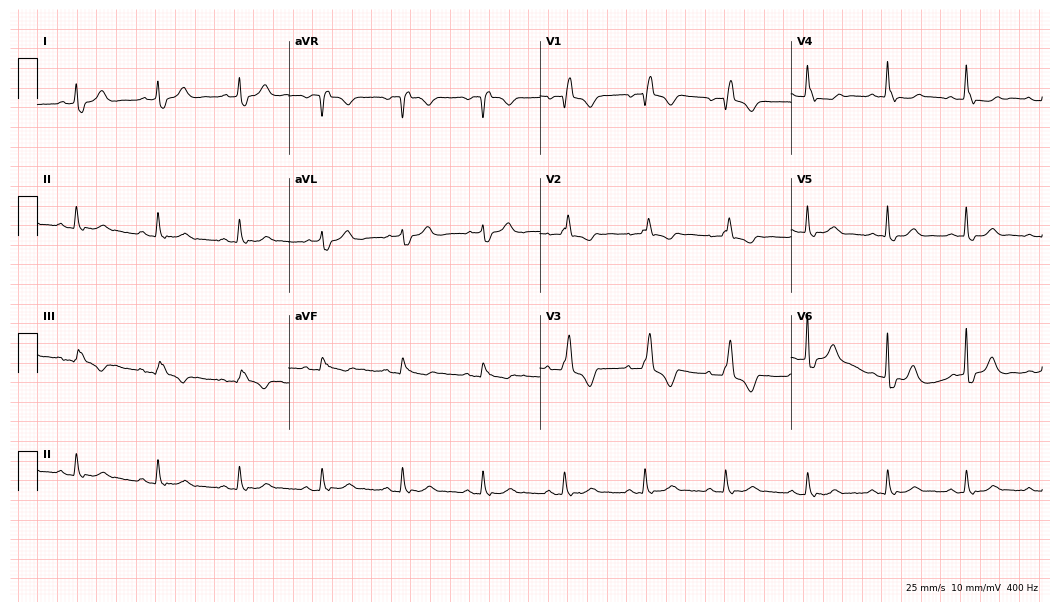
ECG — a 75-year-old female. Findings include right bundle branch block (RBBB).